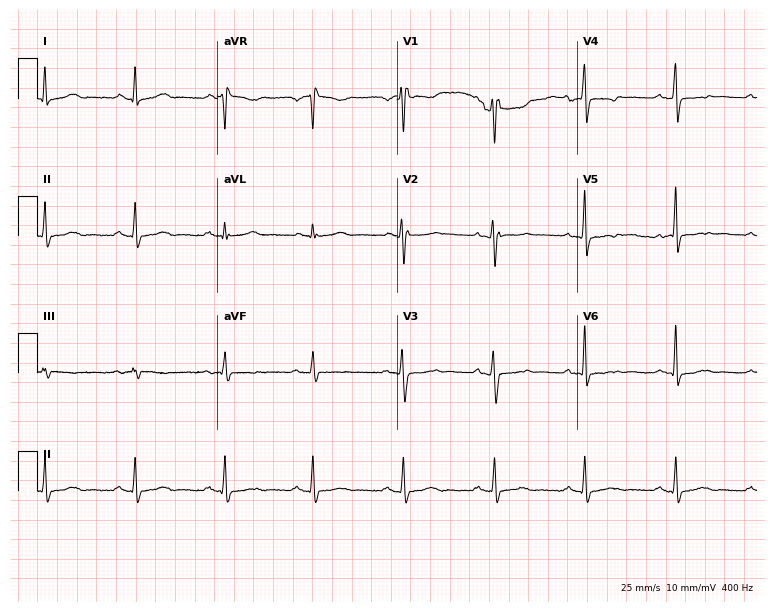
ECG (7.3-second recording at 400 Hz) — a man, 52 years old. Screened for six findings — first-degree AV block, right bundle branch block, left bundle branch block, sinus bradycardia, atrial fibrillation, sinus tachycardia — none is recorded.